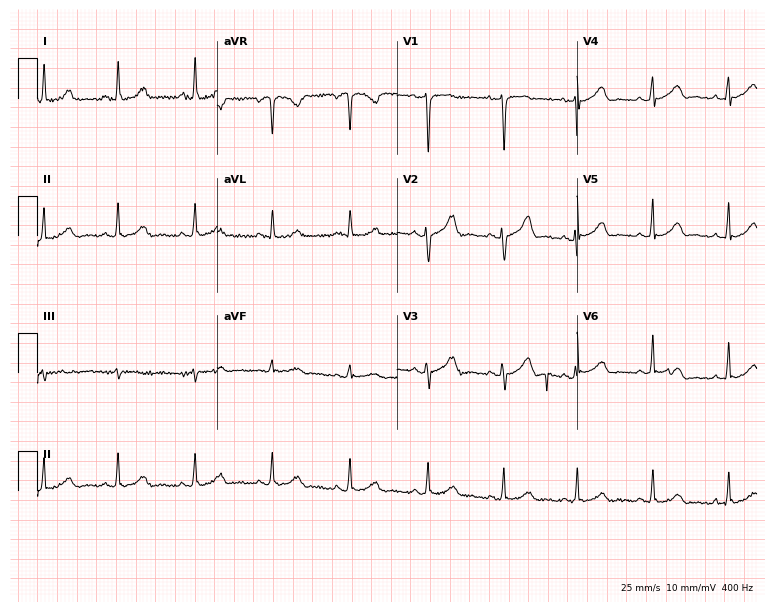
Resting 12-lead electrocardiogram (7.3-second recording at 400 Hz). Patient: a 44-year-old female. None of these six findings is recorded: first-degree AV block, right bundle branch block, left bundle branch block, sinus bradycardia, atrial fibrillation, sinus tachycardia.